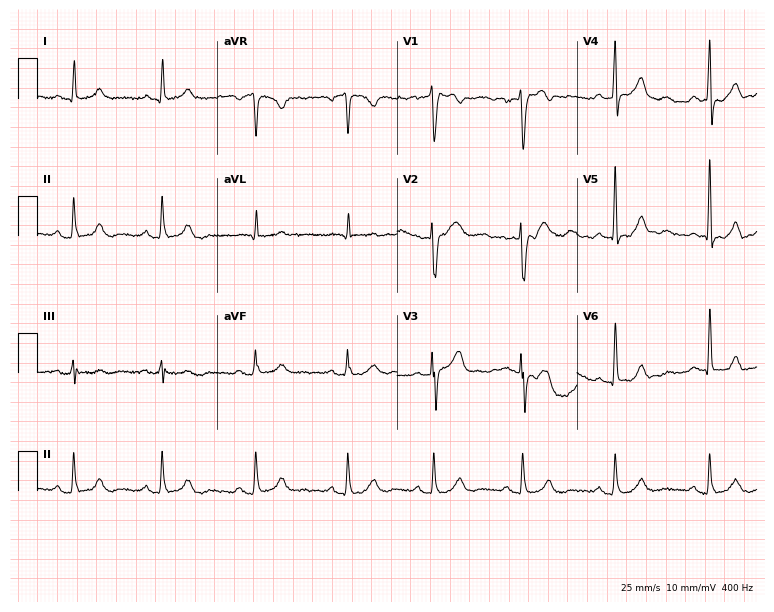
Resting 12-lead electrocardiogram. Patient: a 46-year-old female. None of these six findings is recorded: first-degree AV block, right bundle branch block, left bundle branch block, sinus bradycardia, atrial fibrillation, sinus tachycardia.